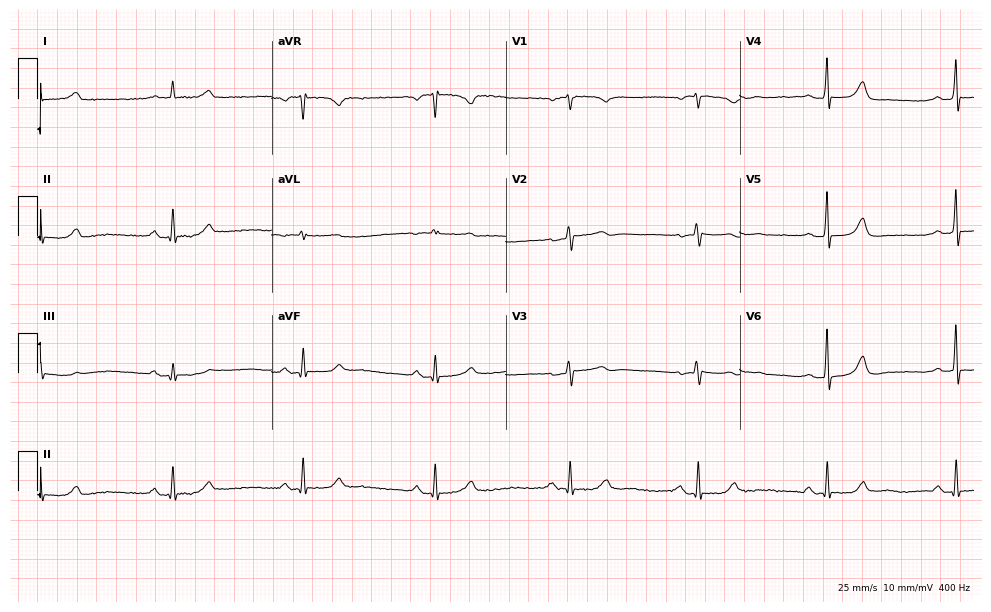
Resting 12-lead electrocardiogram. Patient: a male, 69 years old. Read as a normal ECG.